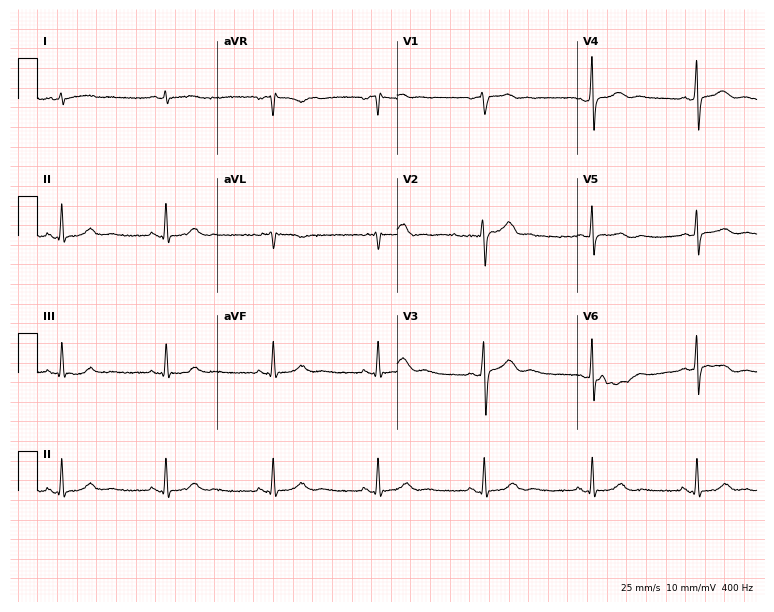
ECG (7.3-second recording at 400 Hz) — a male patient, 50 years old. Labelled as a normal ECG.